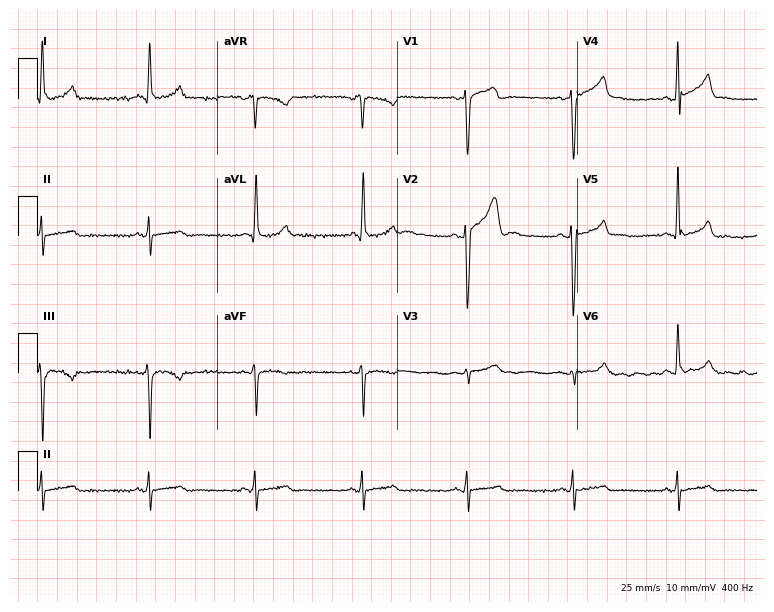
Electrocardiogram, a male, 32 years old. Overall reading on record: normal ECG.